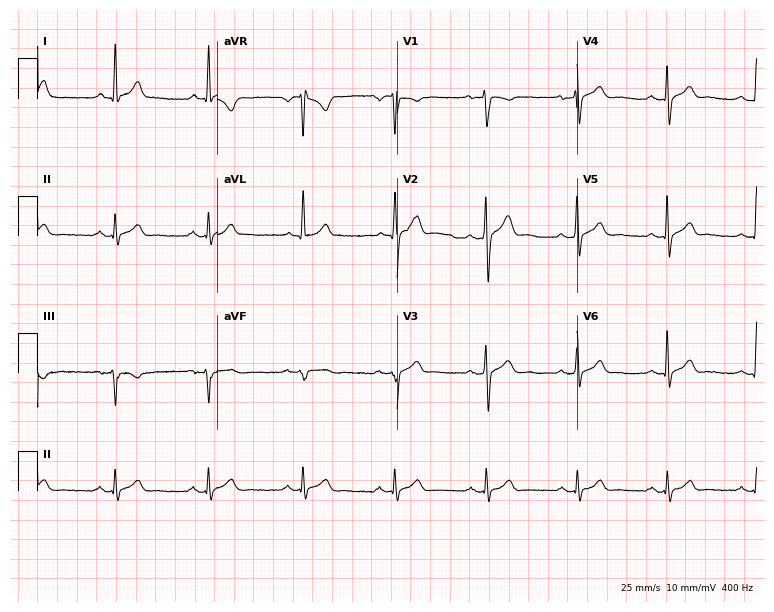
Resting 12-lead electrocardiogram. Patient: a 41-year-old male. Read as a normal ECG.